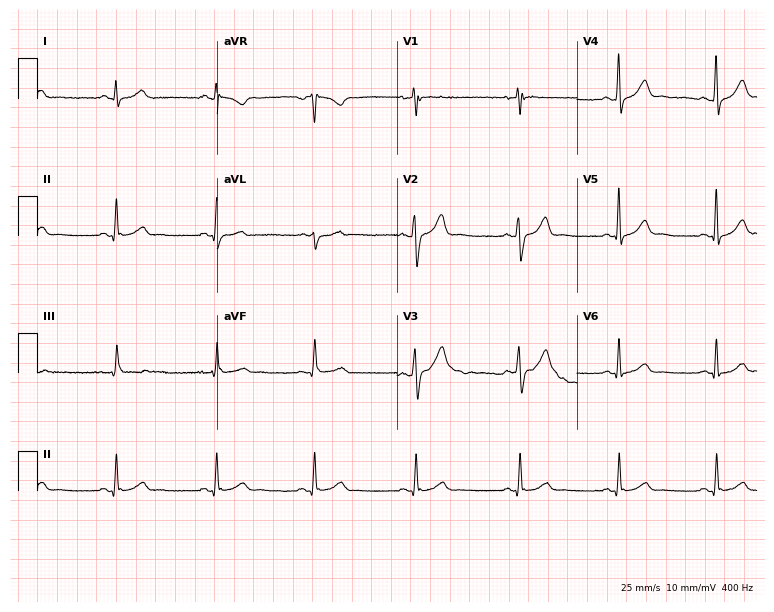
Resting 12-lead electrocardiogram (7.3-second recording at 400 Hz). Patient: a male, 52 years old. None of these six findings is recorded: first-degree AV block, right bundle branch block, left bundle branch block, sinus bradycardia, atrial fibrillation, sinus tachycardia.